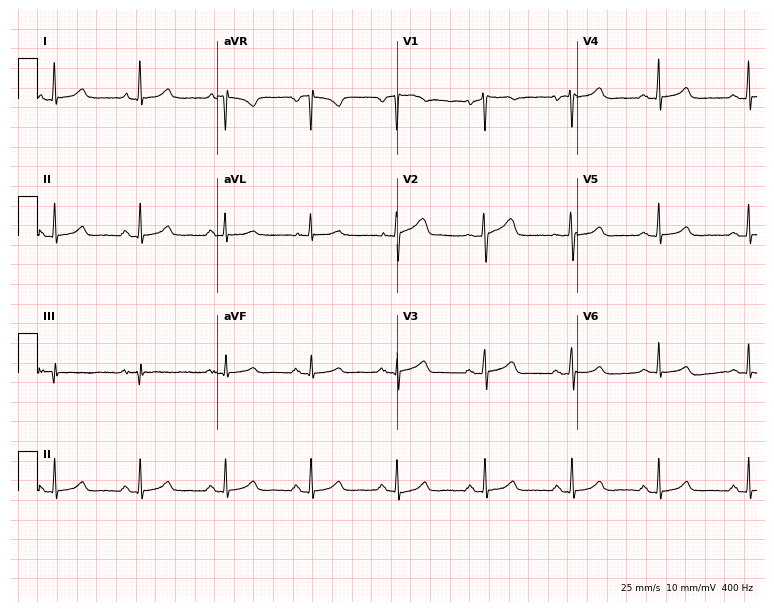
12-lead ECG from a female patient, 68 years old. Recorded interpretation: within normal limits.